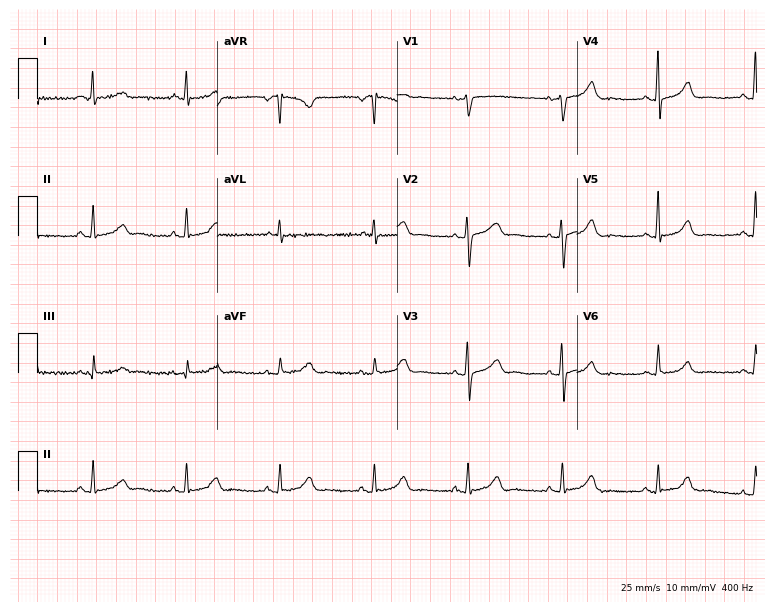
12-lead ECG (7.3-second recording at 400 Hz) from a 59-year-old female. Screened for six findings — first-degree AV block, right bundle branch block, left bundle branch block, sinus bradycardia, atrial fibrillation, sinus tachycardia — none is recorded. Other findings, if any, are not listed.